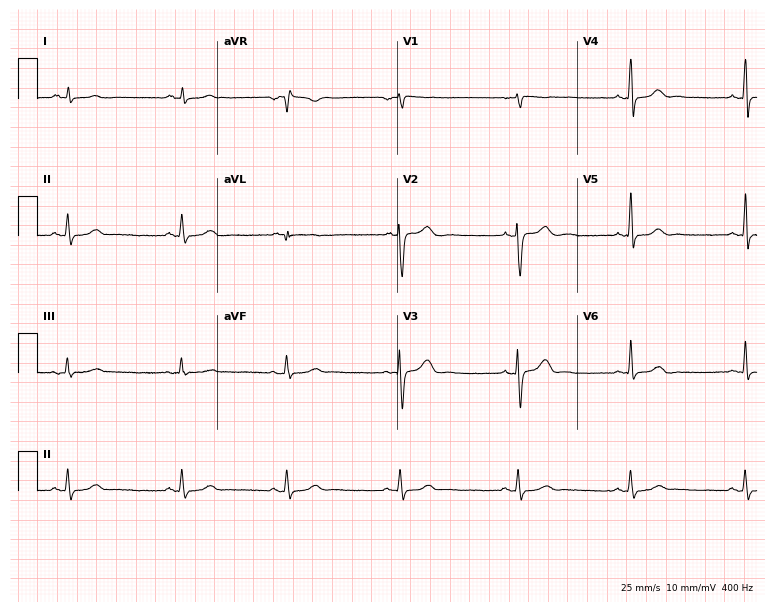
ECG — a 31-year-old woman. Labelled as a normal ECG.